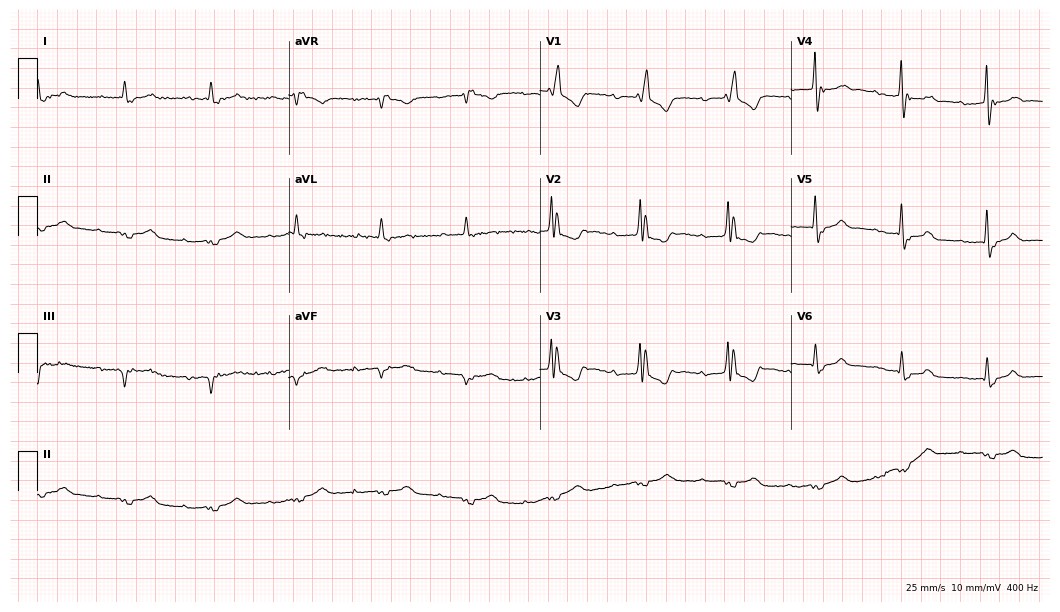
ECG — a male, 84 years old. Findings include first-degree AV block, right bundle branch block (RBBB).